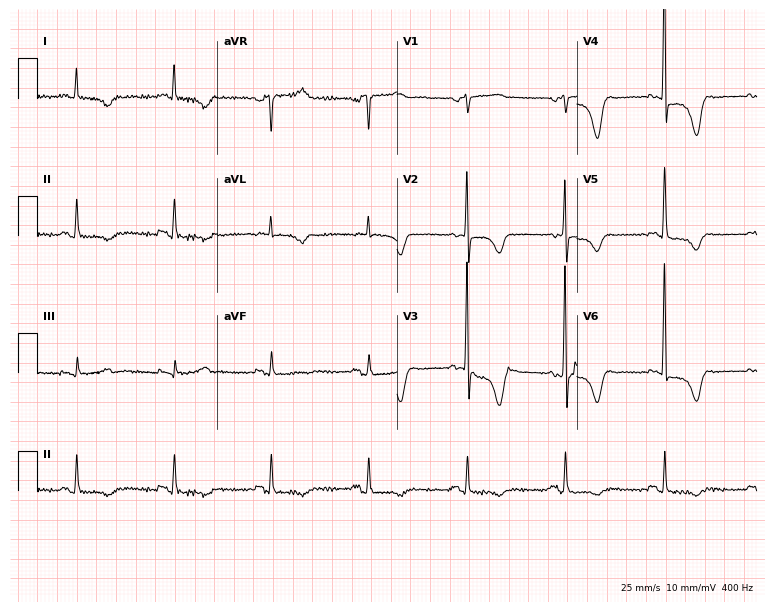
Resting 12-lead electrocardiogram (7.3-second recording at 400 Hz). Patient: a 76-year-old female. None of these six findings is recorded: first-degree AV block, right bundle branch block, left bundle branch block, sinus bradycardia, atrial fibrillation, sinus tachycardia.